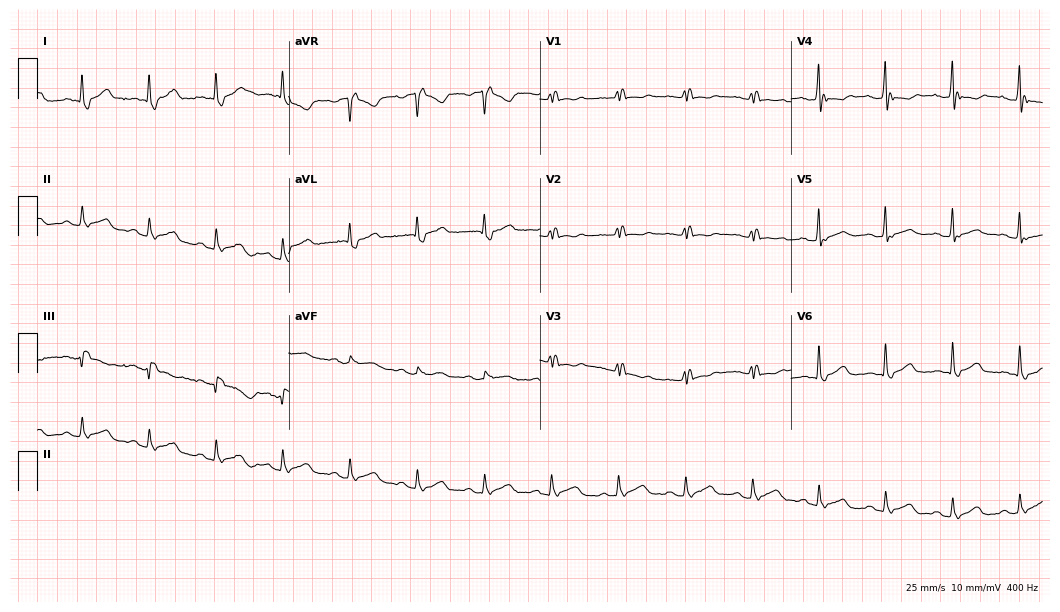
Standard 12-lead ECG recorded from a female patient, 62 years old. The tracing shows right bundle branch block.